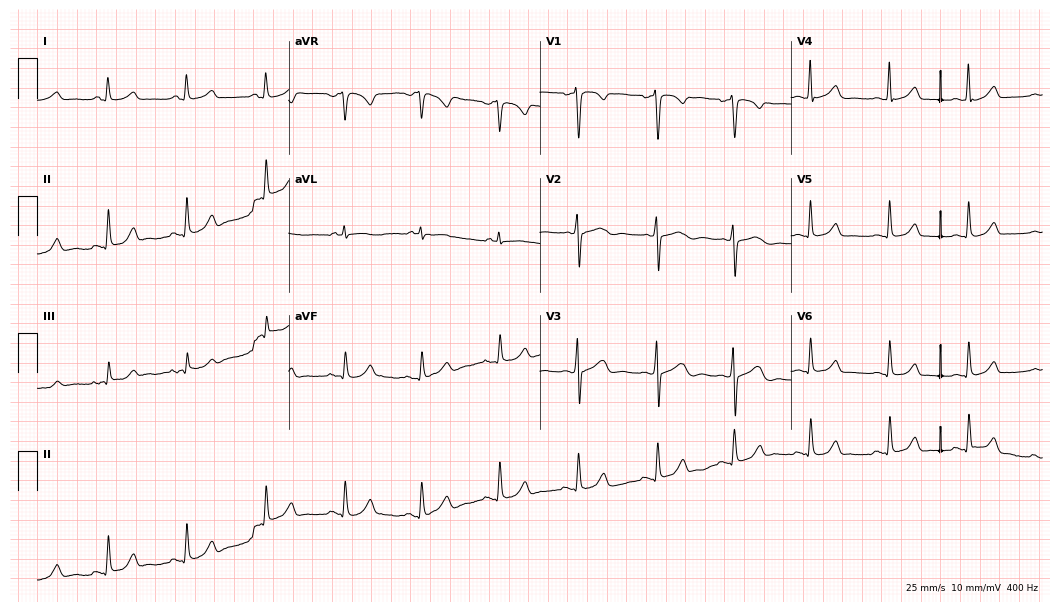
ECG (10.2-second recording at 400 Hz) — a 42-year-old woman. Labelled as a normal ECG.